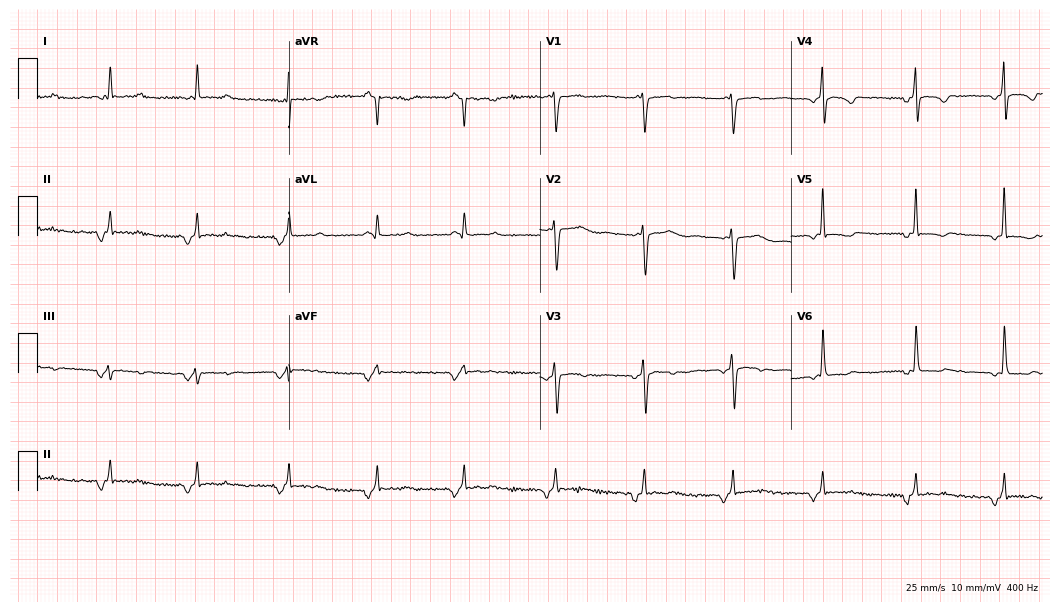
ECG — a 47-year-old woman. Screened for six findings — first-degree AV block, right bundle branch block (RBBB), left bundle branch block (LBBB), sinus bradycardia, atrial fibrillation (AF), sinus tachycardia — none is recorded. Other findings, if any, are not listed.